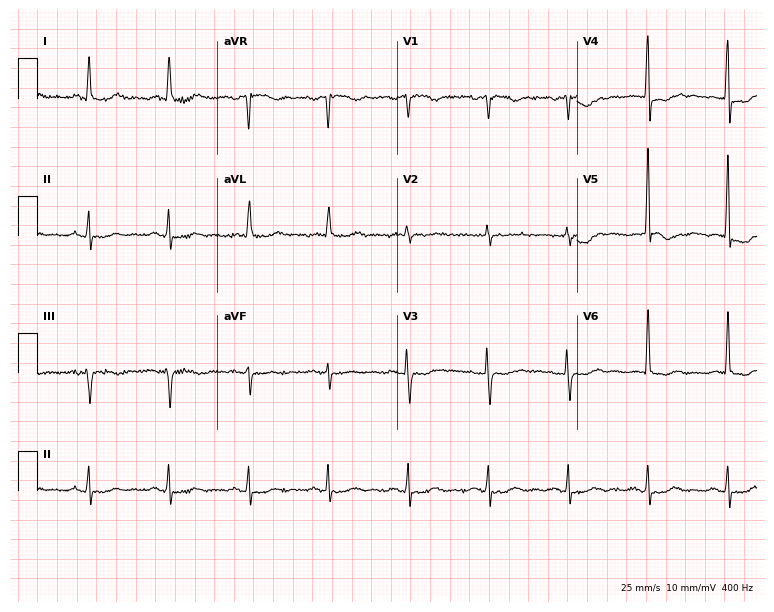
Electrocardiogram (7.3-second recording at 400 Hz), a 69-year-old female. Of the six screened findings (first-degree AV block, right bundle branch block, left bundle branch block, sinus bradycardia, atrial fibrillation, sinus tachycardia), none is recorded. Other findings, if any, are not listed.